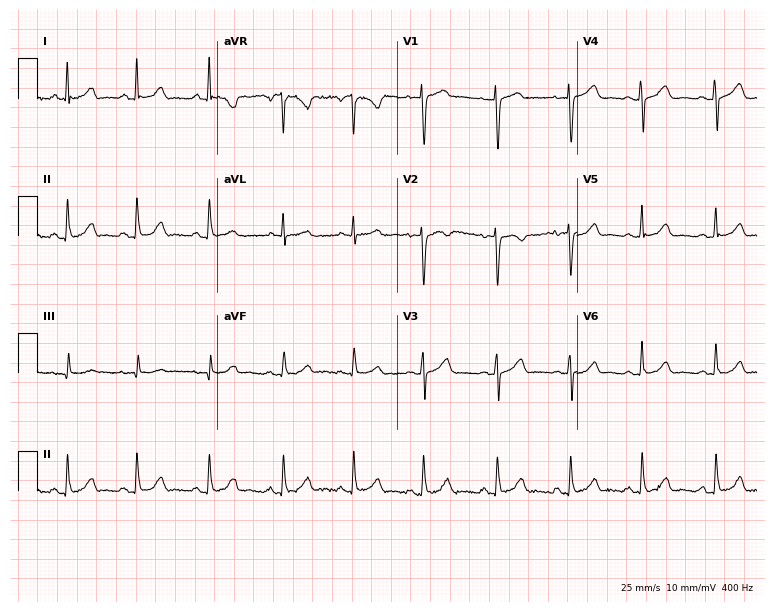
ECG (7.3-second recording at 400 Hz) — a 39-year-old woman. Labelled as a normal ECG.